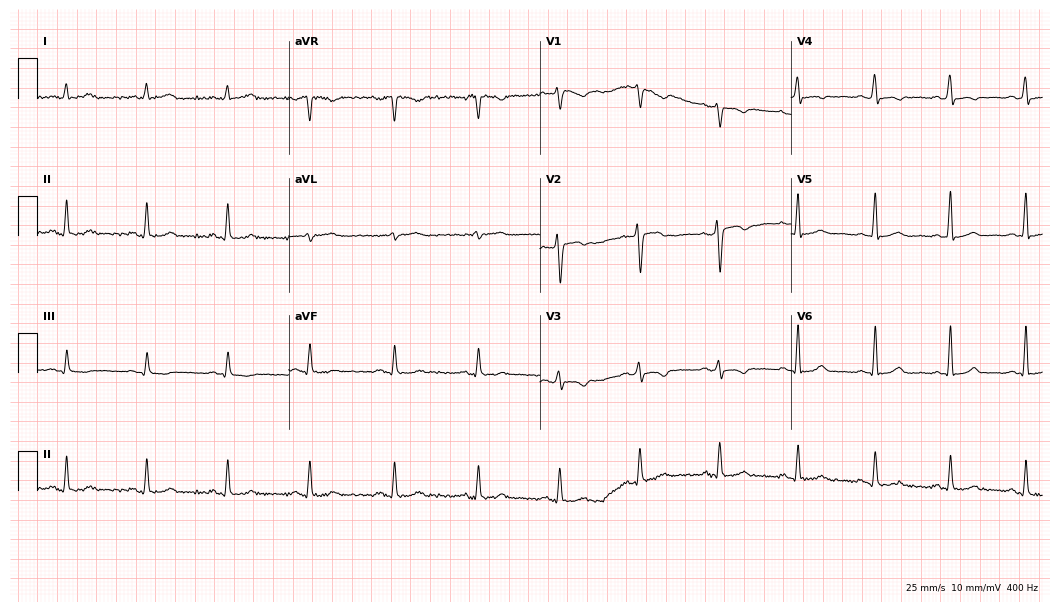
Resting 12-lead electrocardiogram. Patient: a 35-year-old female. None of these six findings is recorded: first-degree AV block, right bundle branch block, left bundle branch block, sinus bradycardia, atrial fibrillation, sinus tachycardia.